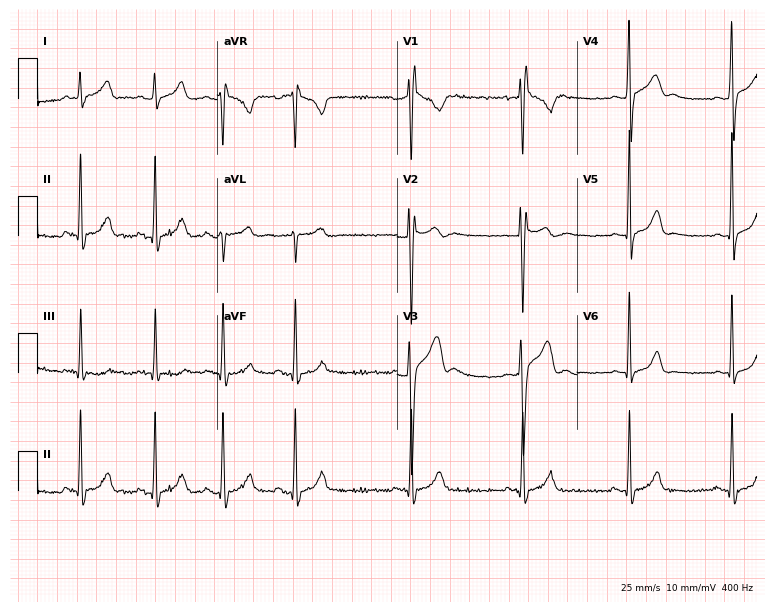
Standard 12-lead ECG recorded from a man, 21 years old (7.3-second recording at 400 Hz). None of these six findings is recorded: first-degree AV block, right bundle branch block, left bundle branch block, sinus bradycardia, atrial fibrillation, sinus tachycardia.